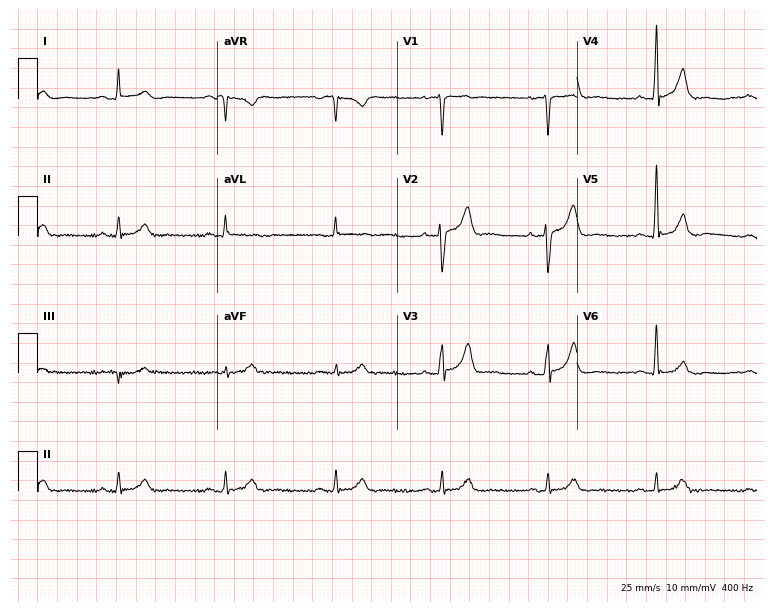
Standard 12-lead ECG recorded from a male patient, 36 years old. None of these six findings is recorded: first-degree AV block, right bundle branch block, left bundle branch block, sinus bradycardia, atrial fibrillation, sinus tachycardia.